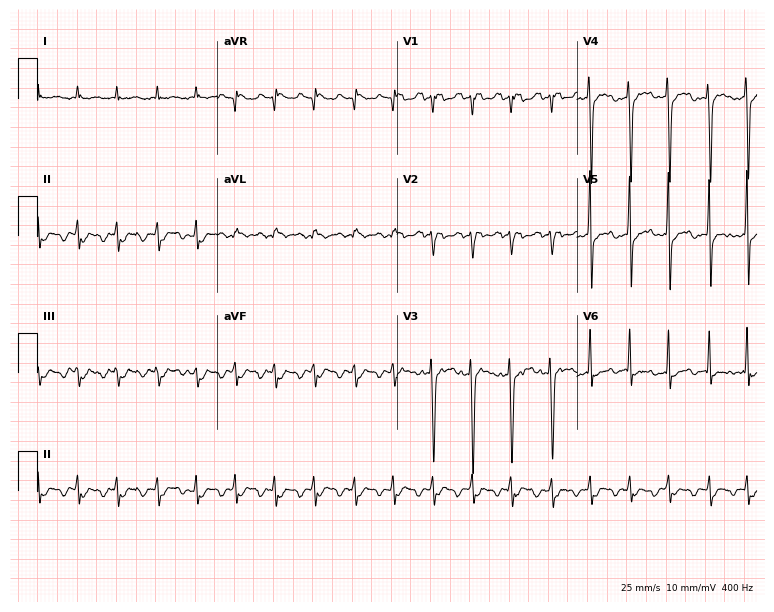
Standard 12-lead ECG recorded from a male patient, 75 years old. None of these six findings is recorded: first-degree AV block, right bundle branch block (RBBB), left bundle branch block (LBBB), sinus bradycardia, atrial fibrillation (AF), sinus tachycardia.